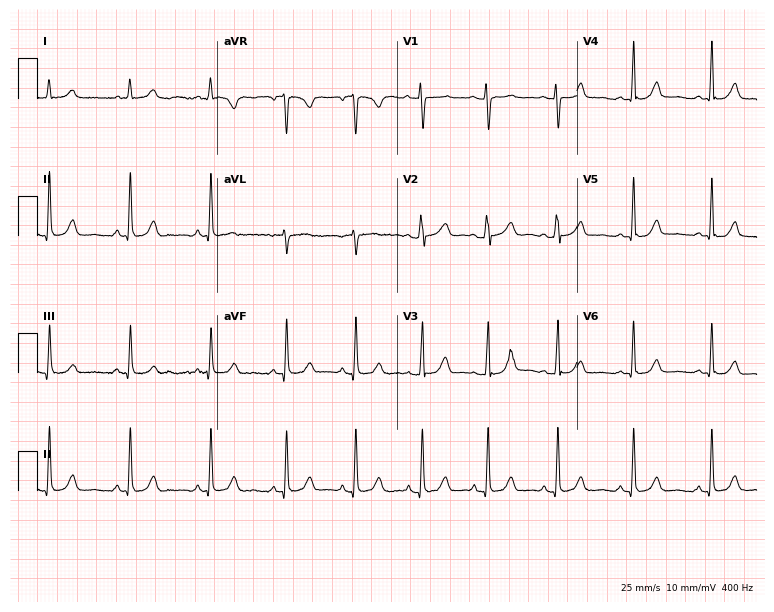
Resting 12-lead electrocardiogram (7.3-second recording at 400 Hz). Patient: a female, 26 years old. Read as a normal ECG.